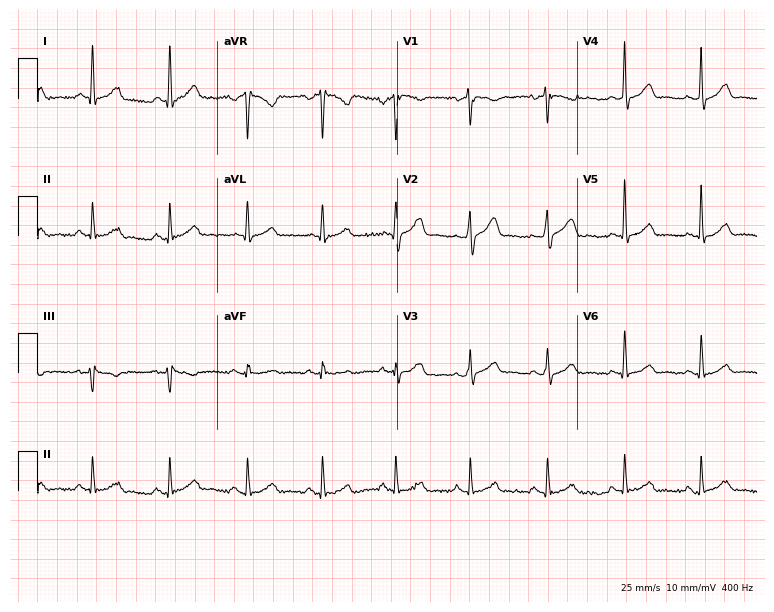
12-lead ECG from a 57-year-old male. Recorded interpretation: within normal limits.